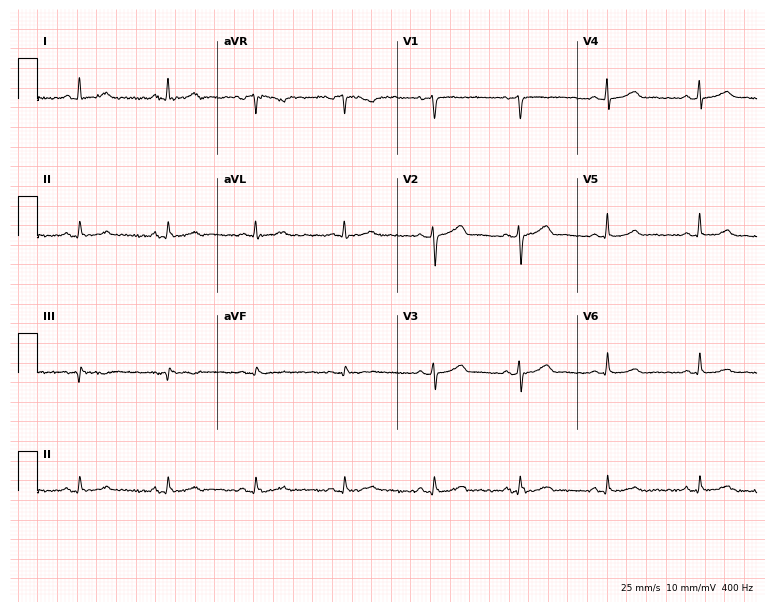
ECG — a female, 44 years old. Screened for six findings — first-degree AV block, right bundle branch block, left bundle branch block, sinus bradycardia, atrial fibrillation, sinus tachycardia — none is recorded. Only these six findings were labelled.